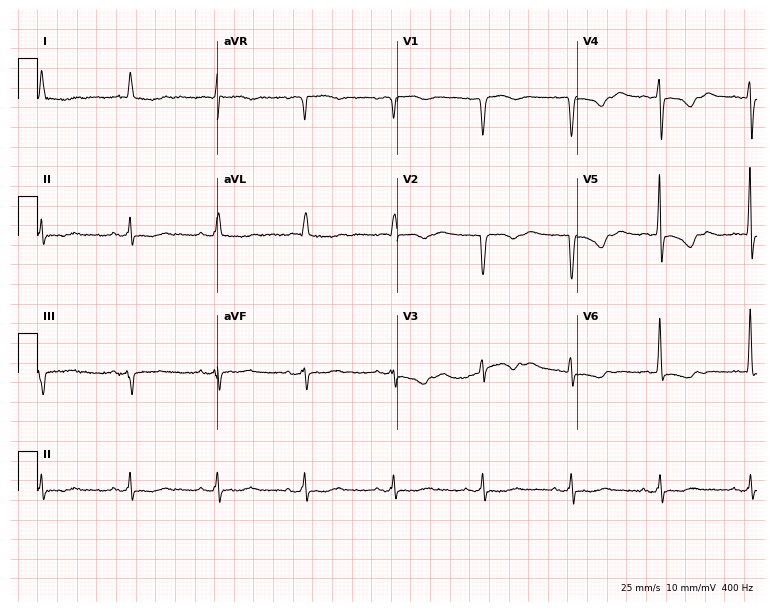
12-lead ECG from a female, 75 years old. No first-degree AV block, right bundle branch block, left bundle branch block, sinus bradycardia, atrial fibrillation or sinus tachycardia recorded for this tracing. Only these six findings were labelled.